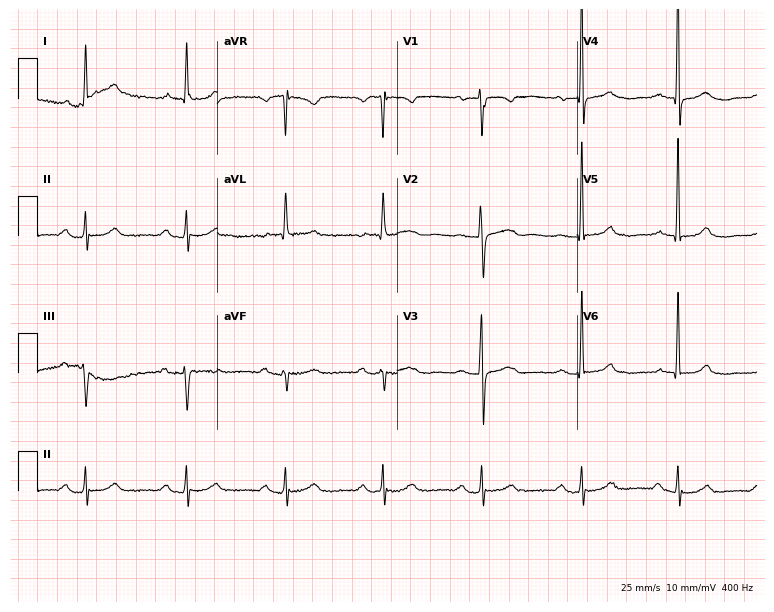
Resting 12-lead electrocardiogram (7.3-second recording at 400 Hz). Patient: an 84-year-old woman. None of these six findings is recorded: first-degree AV block, right bundle branch block, left bundle branch block, sinus bradycardia, atrial fibrillation, sinus tachycardia. Findings outside these six are not listed.